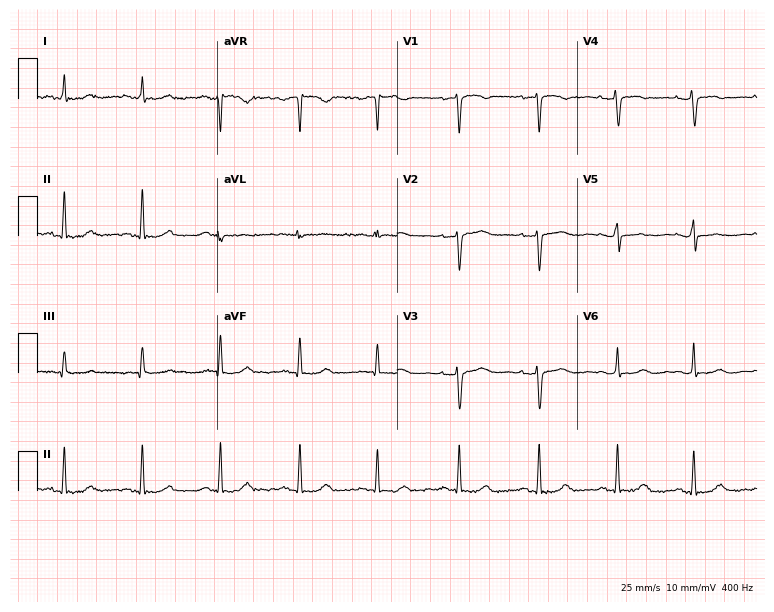
Resting 12-lead electrocardiogram (7.3-second recording at 400 Hz). Patient: a female, 46 years old. Read as a normal ECG.